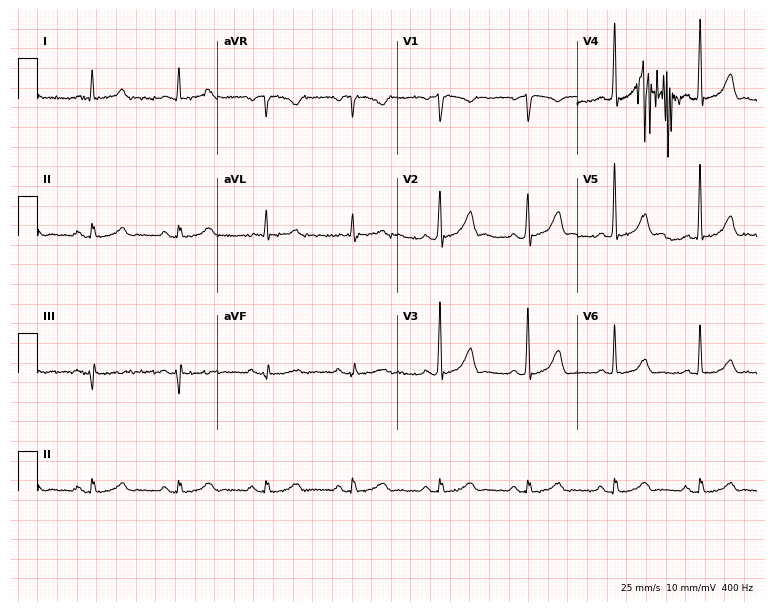
Standard 12-lead ECG recorded from a male patient, 74 years old (7.3-second recording at 400 Hz). None of these six findings is recorded: first-degree AV block, right bundle branch block, left bundle branch block, sinus bradycardia, atrial fibrillation, sinus tachycardia.